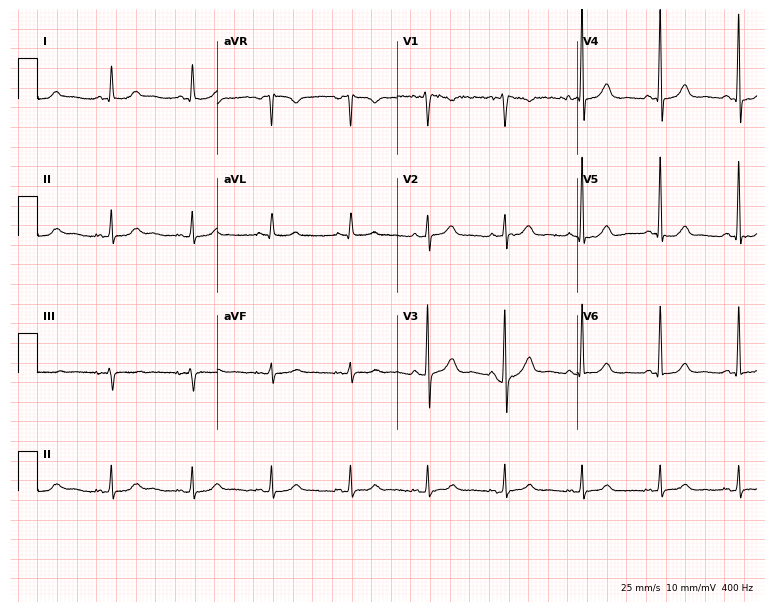
Resting 12-lead electrocardiogram. Patient: a male, 64 years old. None of these six findings is recorded: first-degree AV block, right bundle branch block, left bundle branch block, sinus bradycardia, atrial fibrillation, sinus tachycardia. Findings outside these six are not listed.